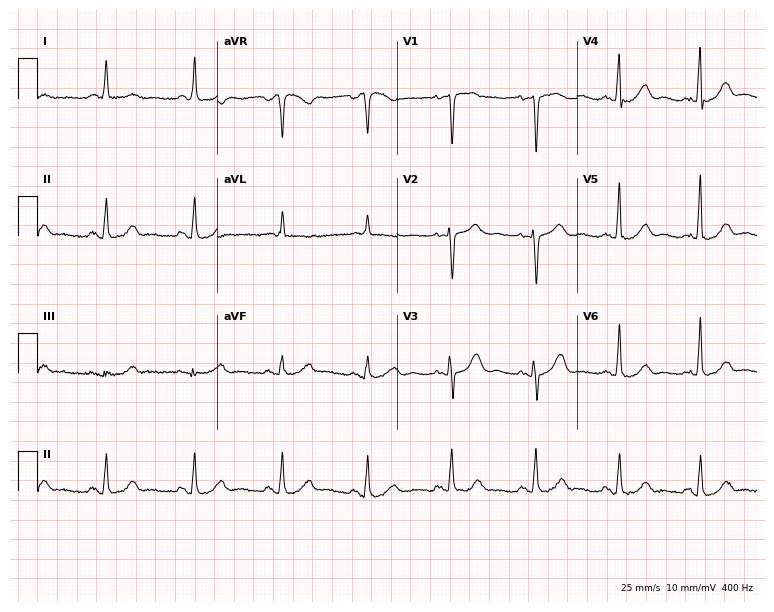
ECG (7.3-second recording at 400 Hz) — a 71-year-old woman. Labelled as a normal ECG.